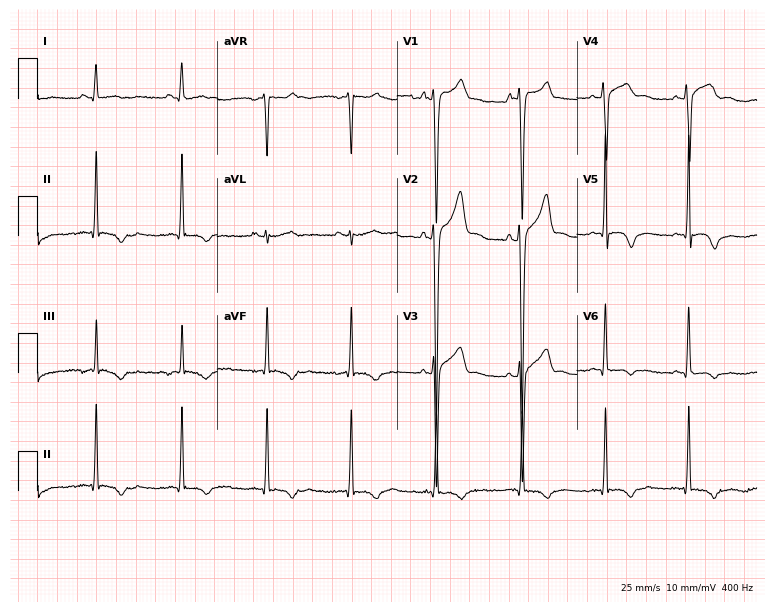
Resting 12-lead electrocardiogram (7.3-second recording at 400 Hz). Patient: a man, 29 years old. None of these six findings is recorded: first-degree AV block, right bundle branch block (RBBB), left bundle branch block (LBBB), sinus bradycardia, atrial fibrillation (AF), sinus tachycardia.